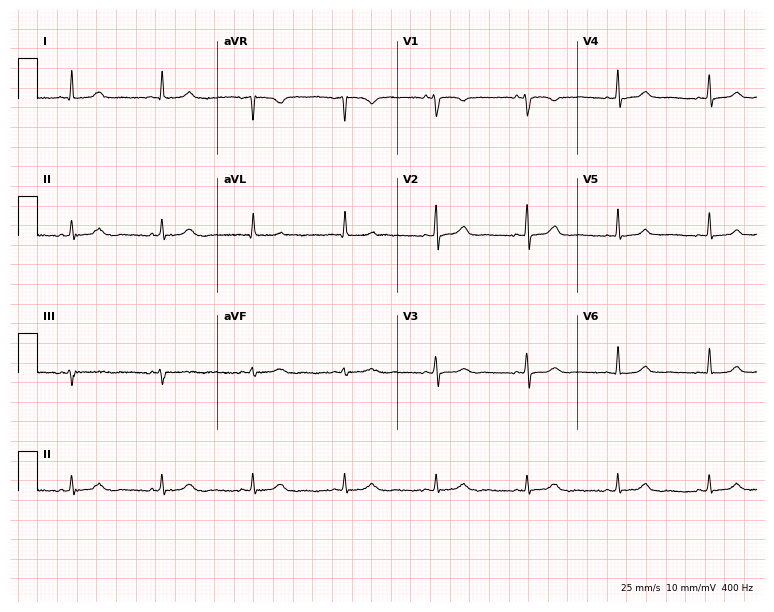
Resting 12-lead electrocardiogram. Patient: a female, 60 years old. None of these six findings is recorded: first-degree AV block, right bundle branch block, left bundle branch block, sinus bradycardia, atrial fibrillation, sinus tachycardia.